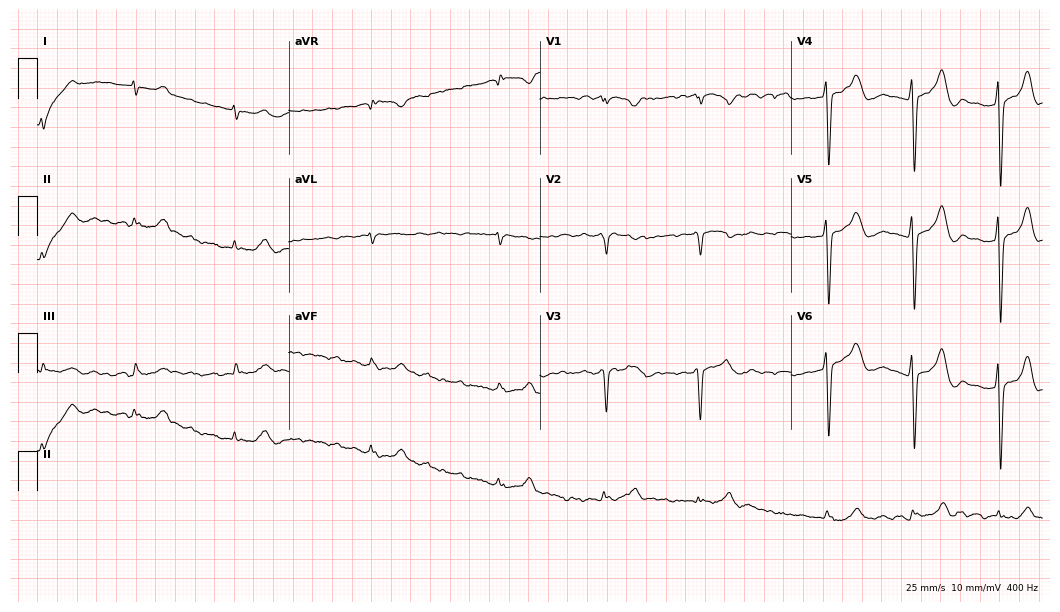
Resting 12-lead electrocardiogram. Patient: a male, 78 years old. None of these six findings is recorded: first-degree AV block, right bundle branch block (RBBB), left bundle branch block (LBBB), sinus bradycardia, atrial fibrillation (AF), sinus tachycardia. Other findings, if any, are not listed.